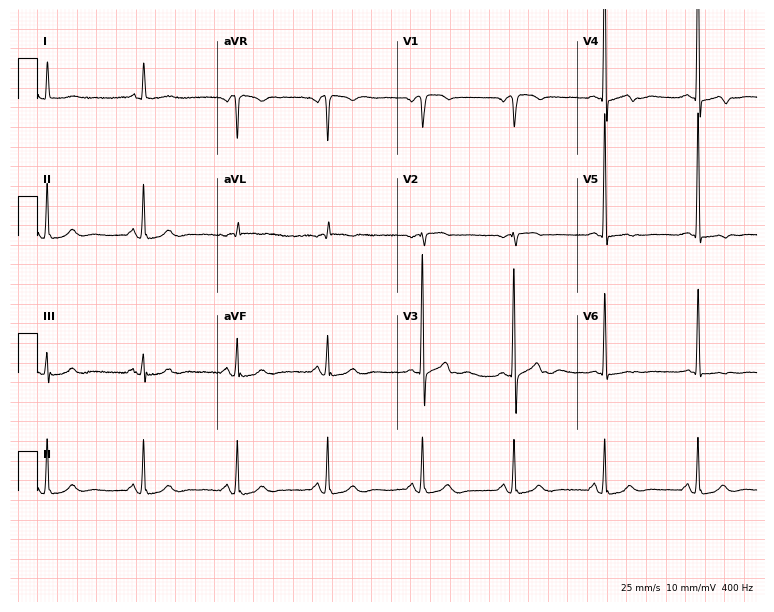
ECG (7.3-second recording at 400 Hz) — a 78-year-old woman. Screened for six findings — first-degree AV block, right bundle branch block (RBBB), left bundle branch block (LBBB), sinus bradycardia, atrial fibrillation (AF), sinus tachycardia — none is recorded. Findings outside these six are not listed.